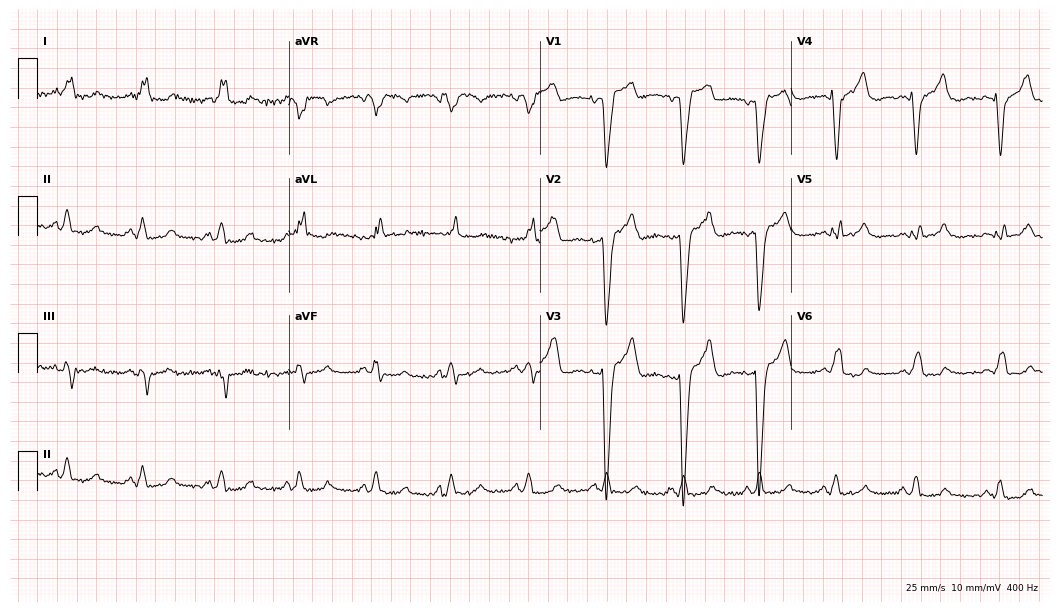
Electrocardiogram, a 70-year-old woman. Interpretation includes left bundle branch block (LBBB).